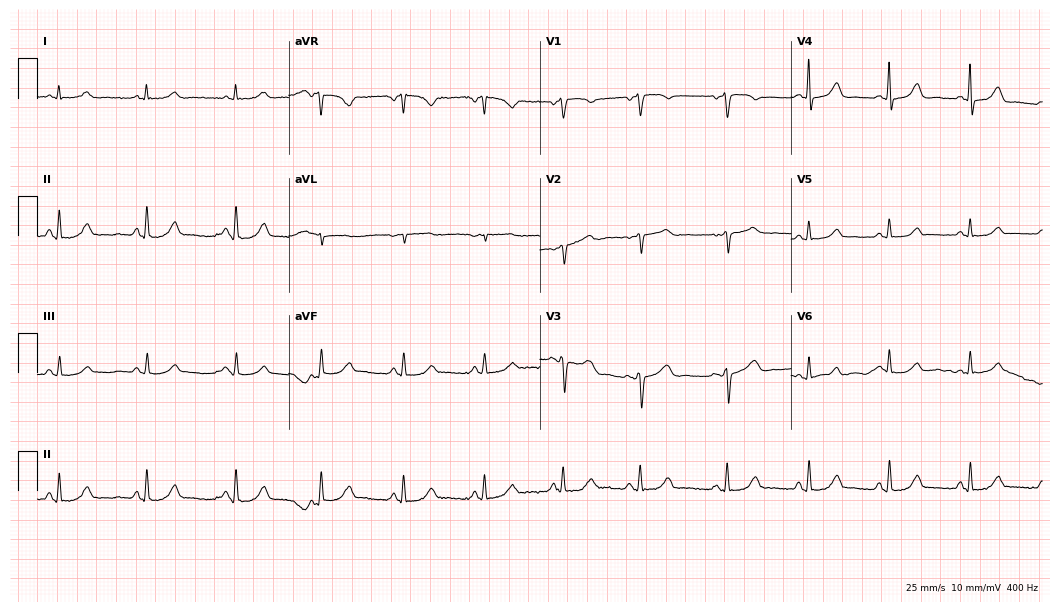
Resting 12-lead electrocardiogram. Patient: a female, 53 years old. Read as a normal ECG.